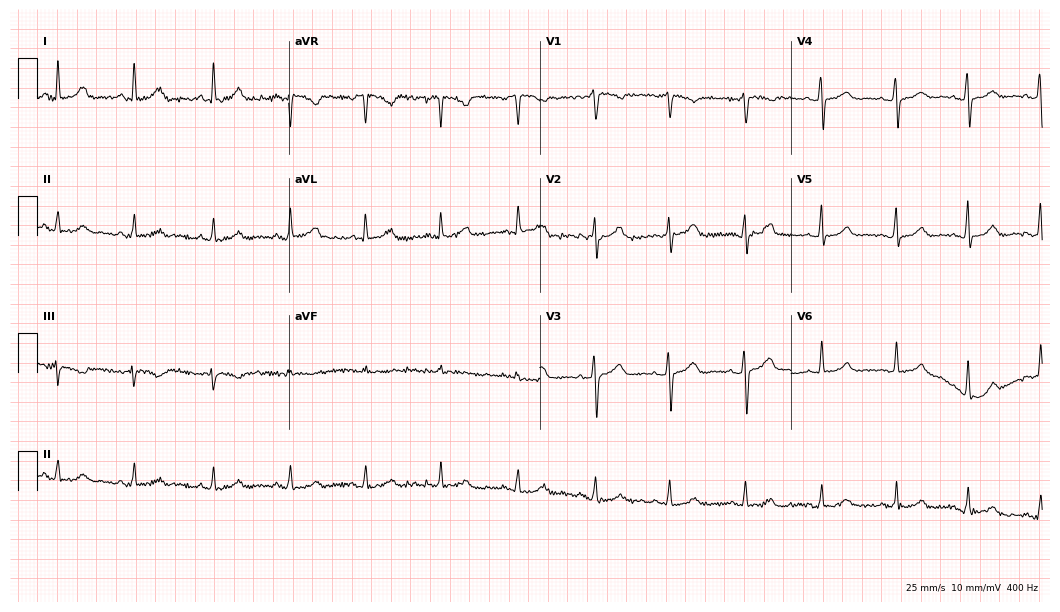
Resting 12-lead electrocardiogram (10.2-second recording at 400 Hz). Patient: a 42-year-old female. None of these six findings is recorded: first-degree AV block, right bundle branch block, left bundle branch block, sinus bradycardia, atrial fibrillation, sinus tachycardia. Other findings, if any, are not listed.